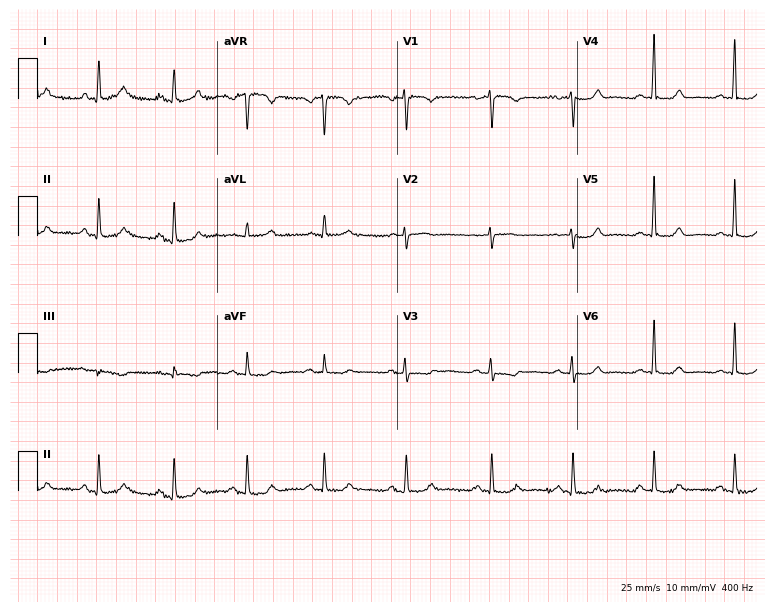
ECG — a female patient, 40 years old. Screened for six findings — first-degree AV block, right bundle branch block, left bundle branch block, sinus bradycardia, atrial fibrillation, sinus tachycardia — none is recorded.